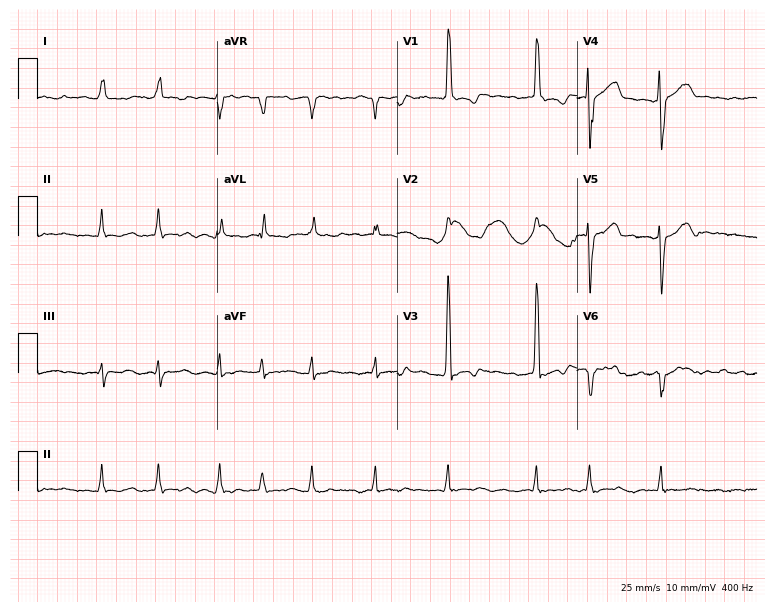
ECG (7.3-second recording at 400 Hz) — a male patient, 60 years old. Findings include atrial fibrillation.